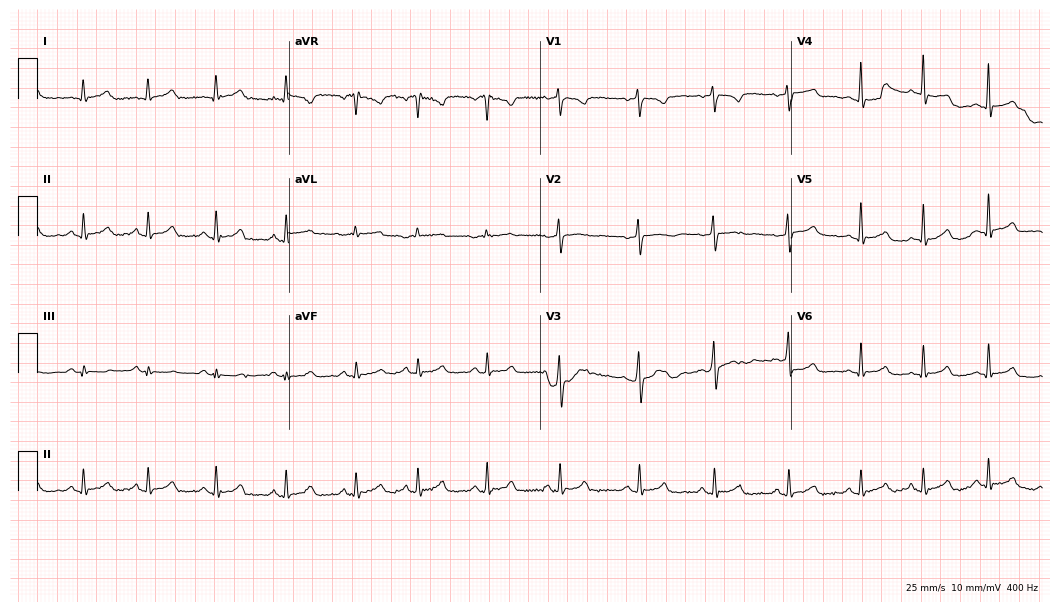
Resting 12-lead electrocardiogram. Patient: a 24-year-old female. Read as a normal ECG.